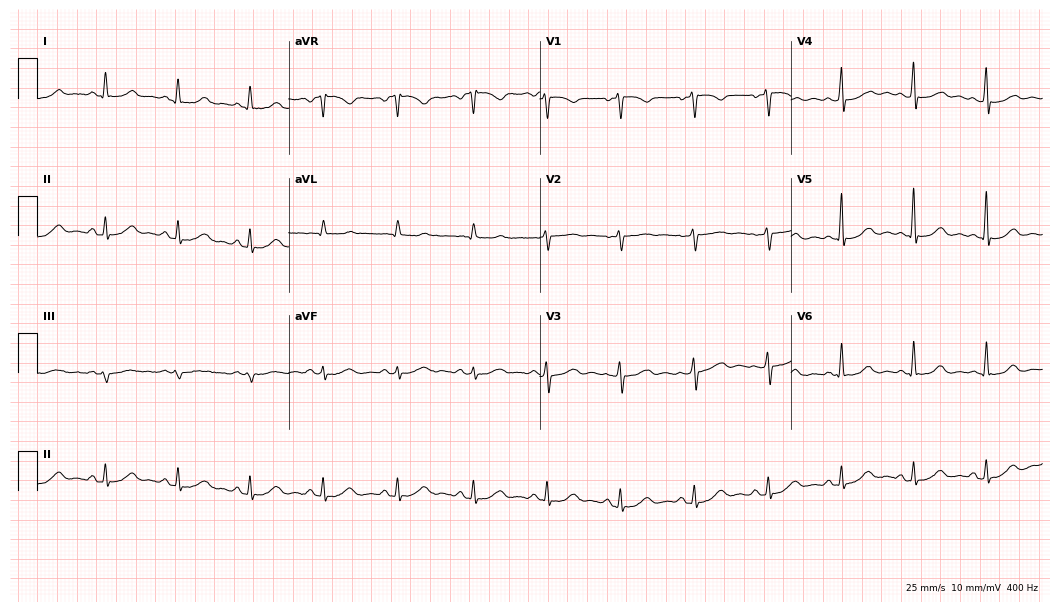
ECG (10.2-second recording at 400 Hz) — a 50-year-old woman. Screened for six findings — first-degree AV block, right bundle branch block (RBBB), left bundle branch block (LBBB), sinus bradycardia, atrial fibrillation (AF), sinus tachycardia — none is recorded.